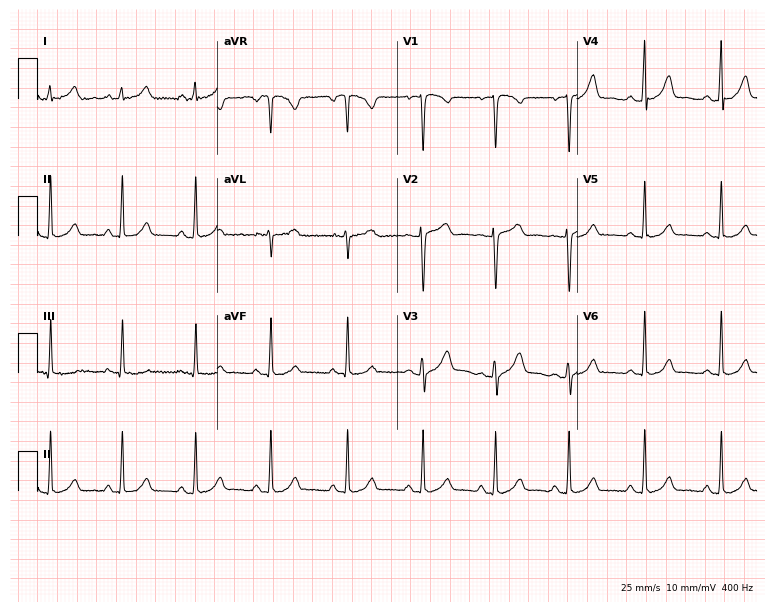
ECG (7.3-second recording at 400 Hz) — a 33-year-old woman. Screened for six findings — first-degree AV block, right bundle branch block, left bundle branch block, sinus bradycardia, atrial fibrillation, sinus tachycardia — none is recorded.